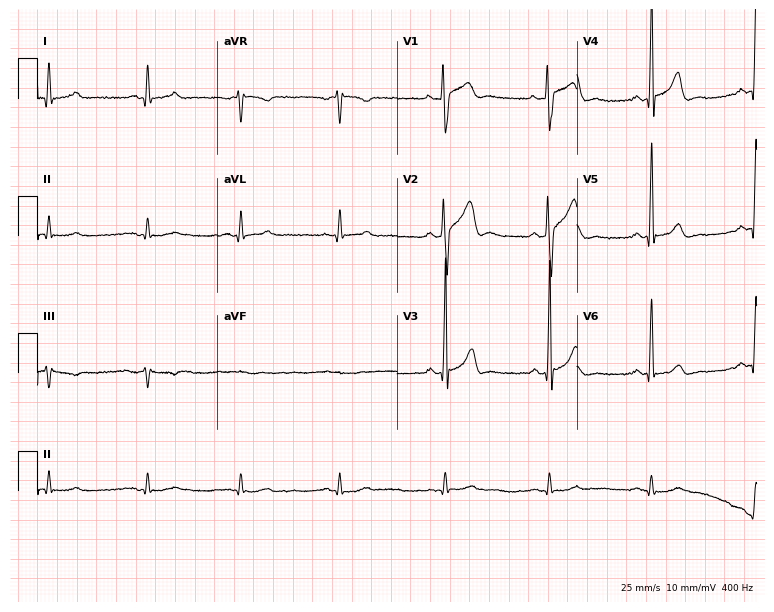
12-lead ECG from a man, 29 years old (7.3-second recording at 400 Hz). Recorded interpretation: within normal limits.